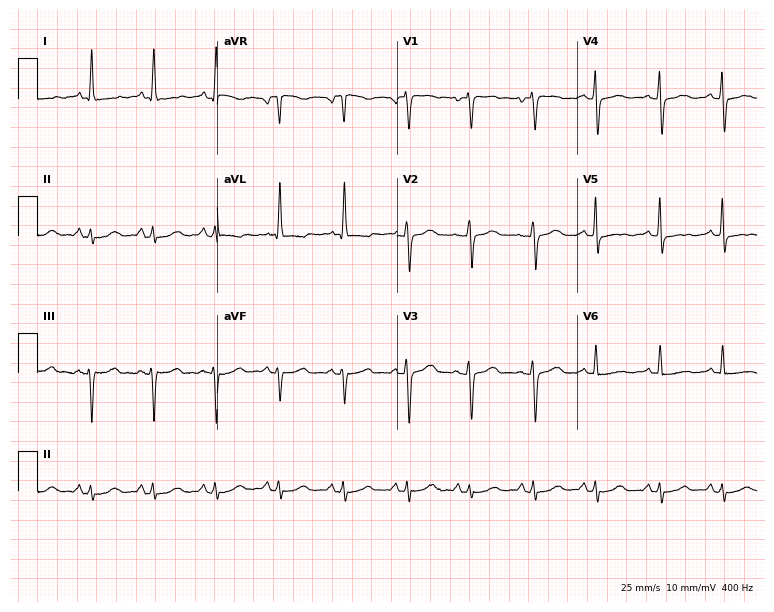
Electrocardiogram (7.3-second recording at 400 Hz), a male, 53 years old. Of the six screened findings (first-degree AV block, right bundle branch block (RBBB), left bundle branch block (LBBB), sinus bradycardia, atrial fibrillation (AF), sinus tachycardia), none is recorded. Other findings, if any, are not listed.